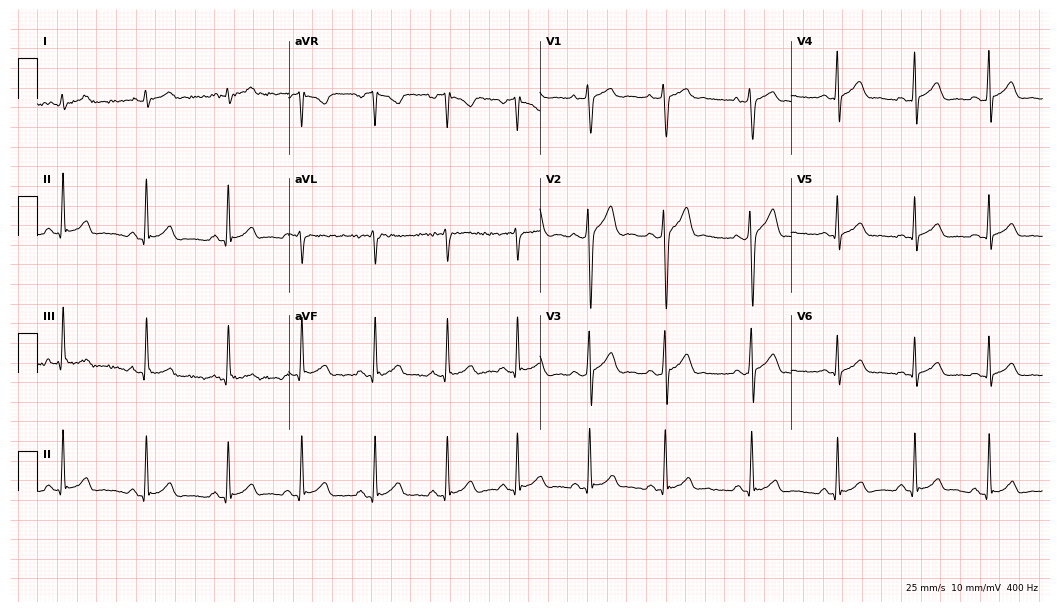
12-lead ECG from a 30-year-old male patient. Recorded interpretation: within normal limits.